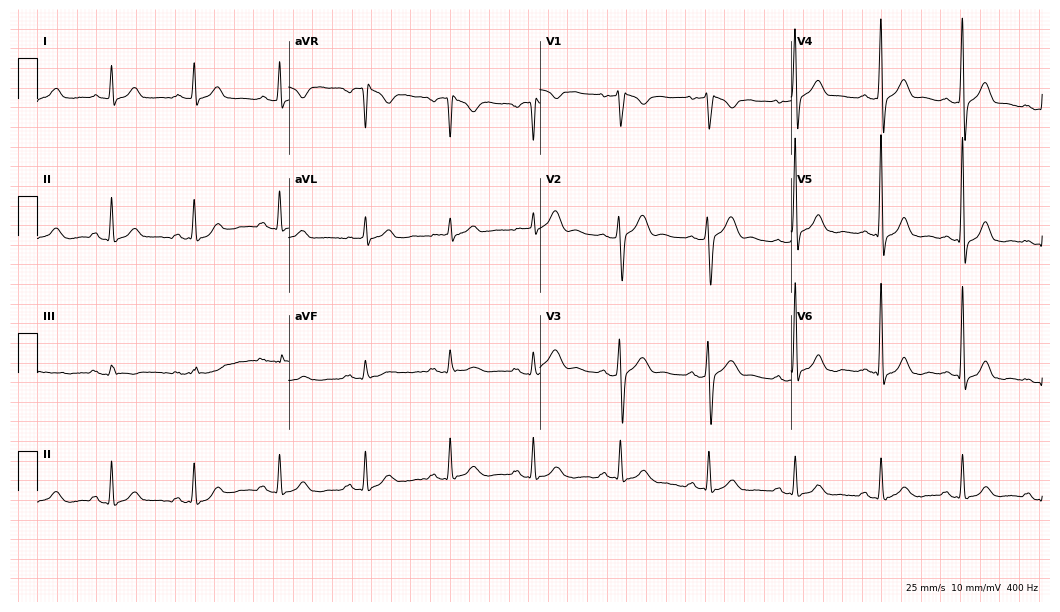
Resting 12-lead electrocardiogram. Patient: a 28-year-old man. None of these six findings is recorded: first-degree AV block, right bundle branch block (RBBB), left bundle branch block (LBBB), sinus bradycardia, atrial fibrillation (AF), sinus tachycardia. Other findings, if any, are not listed.